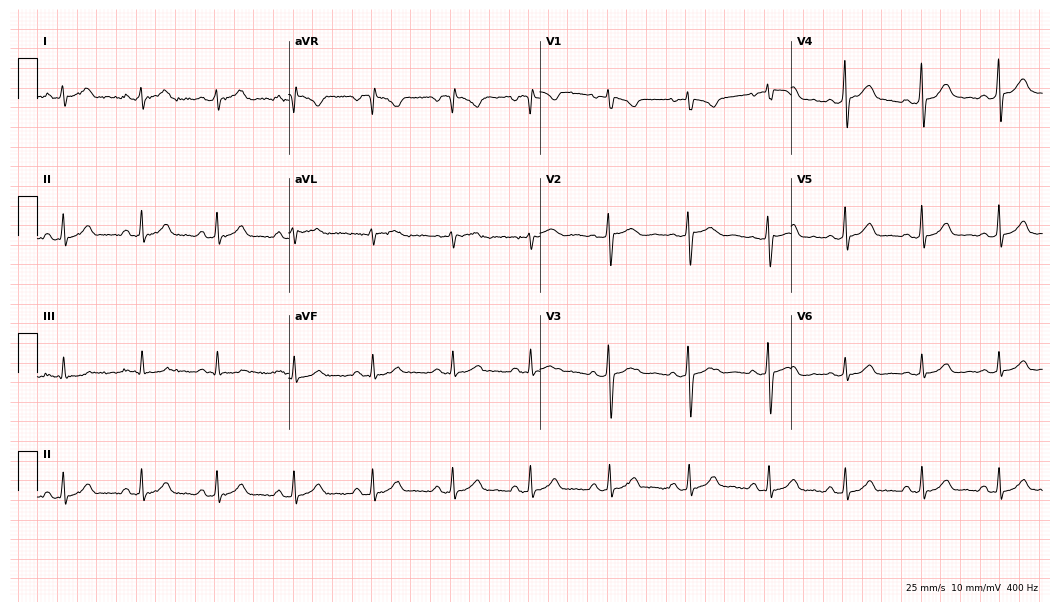
ECG (10.2-second recording at 400 Hz) — a female, 31 years old. Labelled as a normal ECG.